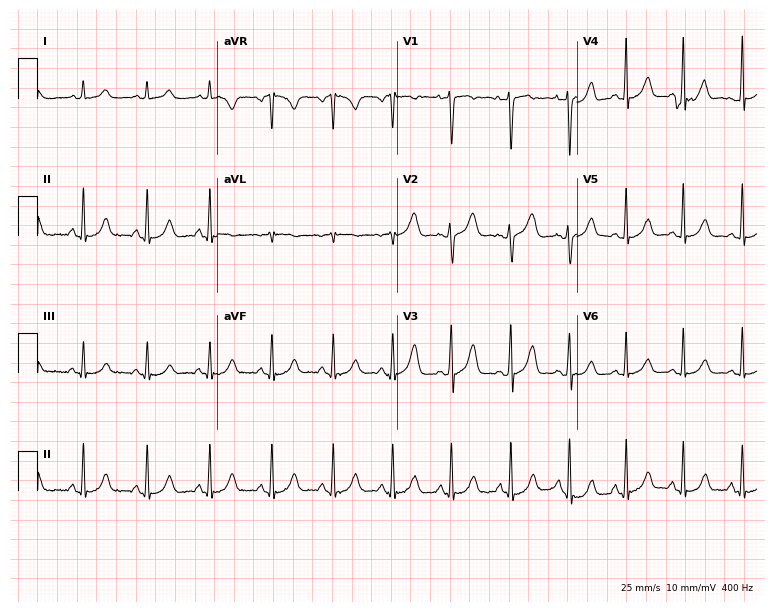
12-lead ECG from a 20-year-old woman. Labelled as a normal ECG.